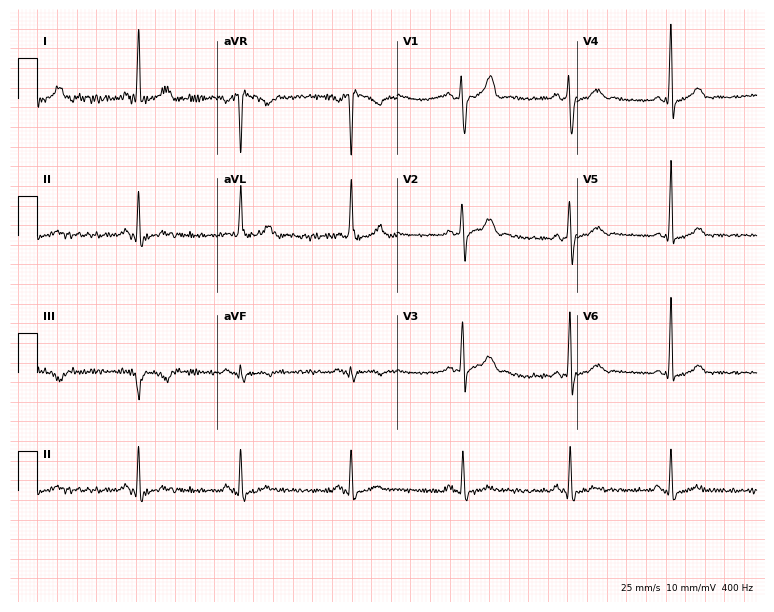
Standard 12-lead ECG recorded from a 50-year-old male patient. None of these six findings is recorded: first-degree AV block, right bundle branch block, left bundle branch block, sinus bradycardia, atrial fibrillation, sinus tachycardia.